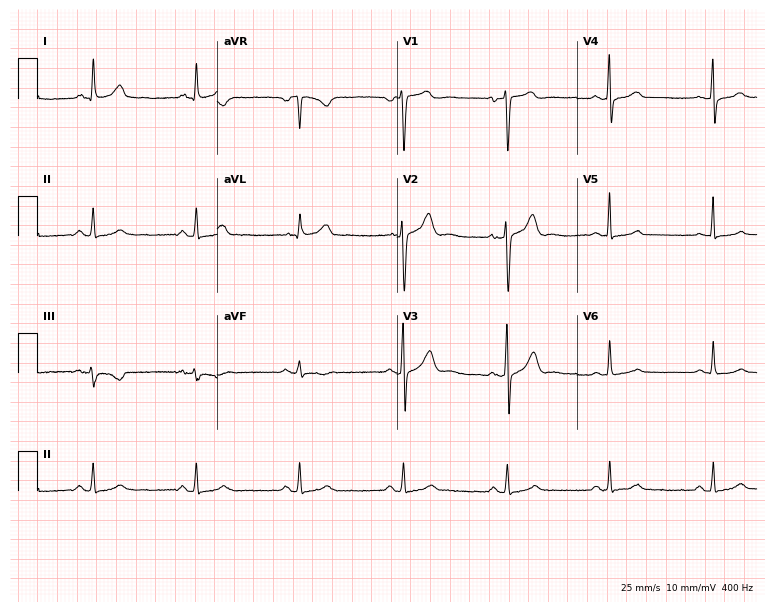
Resting 12-lead electrocardiogram (7.3-second recording at 400 Hz). Patient: a male, 56 years old. Read as a normal ECG.